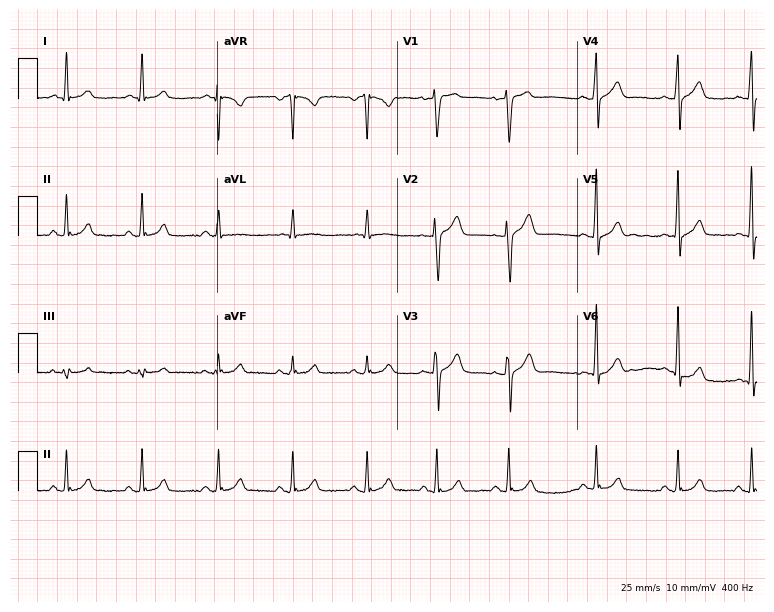
Standard 12-lead ECG recorded from a 25-year-old man. Read as a normal ECG.